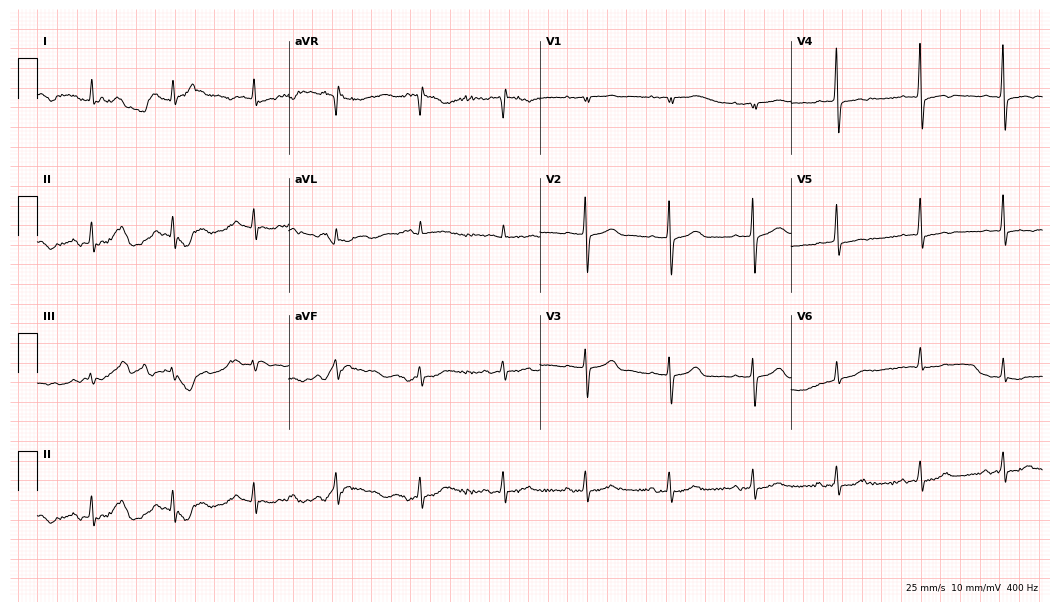
ECG — an 81-year-old female patient. Screened for six findings — first-degree AV block, right bundle branch block, left bundle branch block, sinus bradycardia, atrial fibrillation, sinus tachycardia — none is recorded. Only these six findings were labelled.